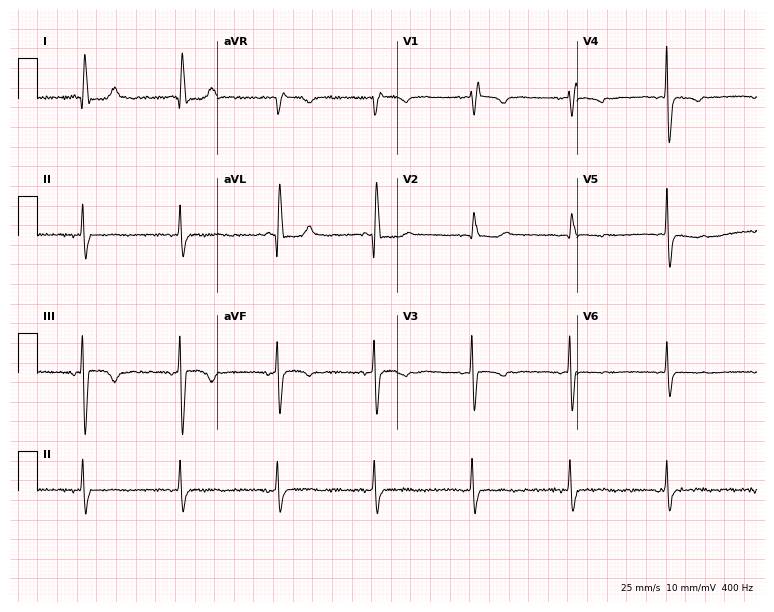
ECG (7.3-second recording at 400 Hz) — a female patient, 77 years old. Screened for six findings — first-degree AV block, right bundle branch block, left bundle branch block, sinus bradycardia, atrial fibrillation, sinus tachycardia — none is recorded.